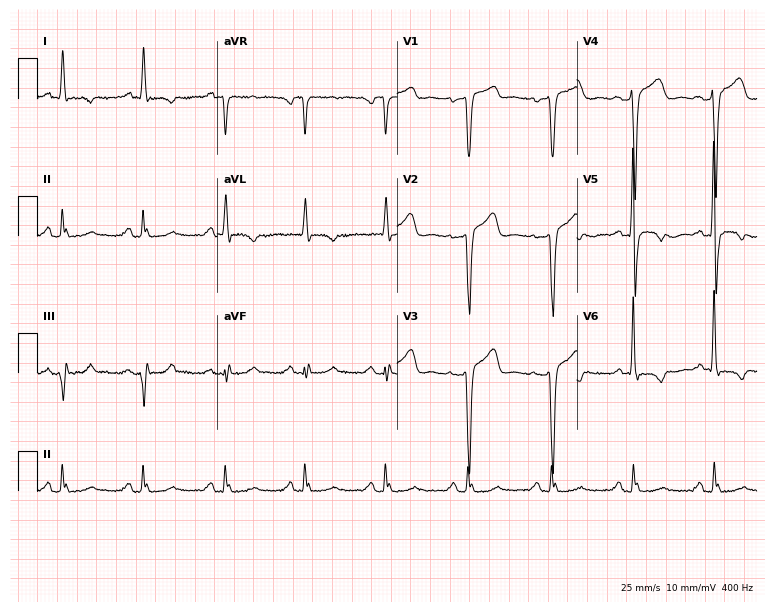
Resting 12-lead electrocardiogram (7.3-second recording at 400 Hz). Patient: a 68-year-old female. None of these six findings is recorded: first-degree AV block, right bundle branch block, left bundle branch block, sinus bradycardia, atrial fibrillation, sinus tachycardia. Findings outside these six are not listed.